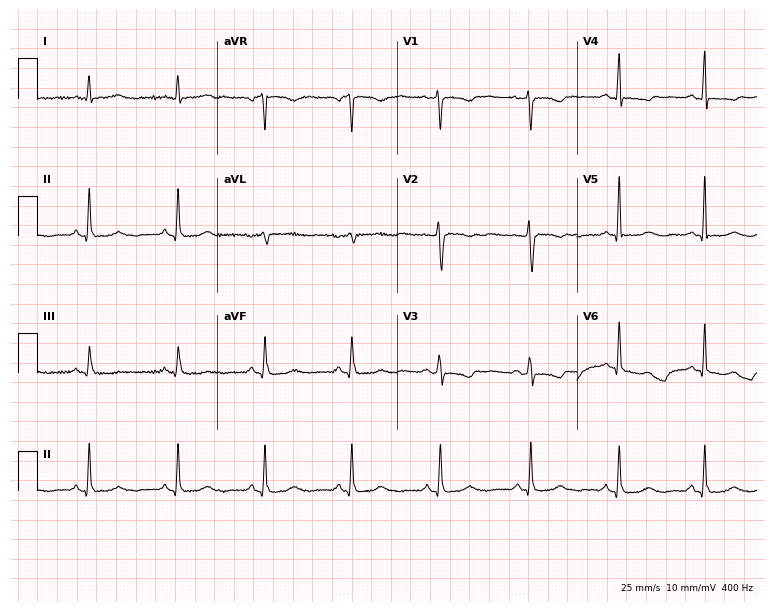
12-lead ECG from a 44-year-old woman. Labelled as a normal ECG.